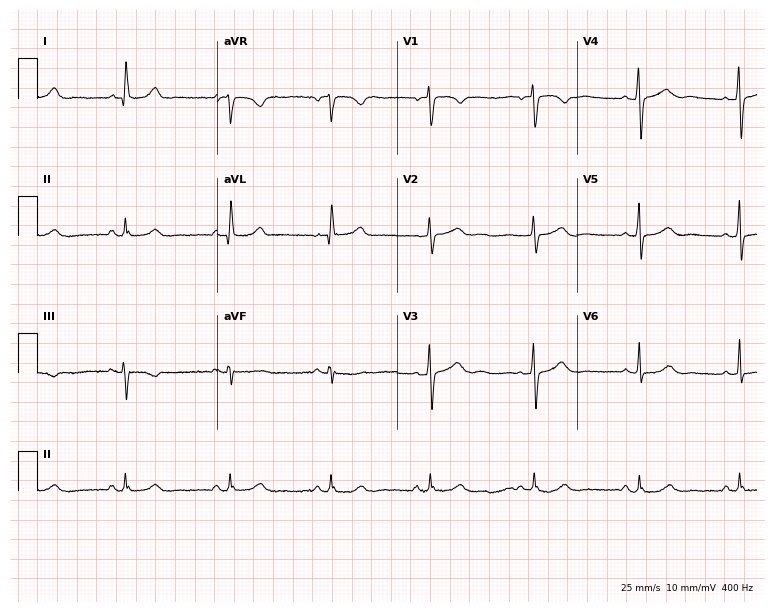
Electrocardiogram, a woman, 50 years old. Of the six screened findings (first-degree AV block, right bundle branch block, left bundle branch block, sinus bradycardia, atrial fibrillation, sinus tachycardia), none is recorded.